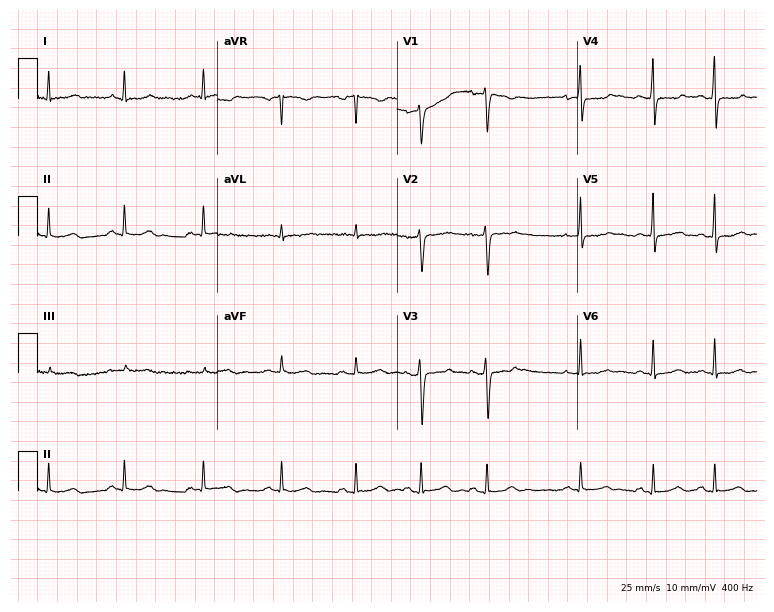
Standard 12-lead ECG recorded from a 22-year-old female patient (7.3-second recording at 400 Hz). None of these six findings is recorded: first-degree AV block, right bundle branch block, left bundle branch block, sinus bradycardia, atrial fibrillation, sinus tachycardia. Only these six findings were labelled.